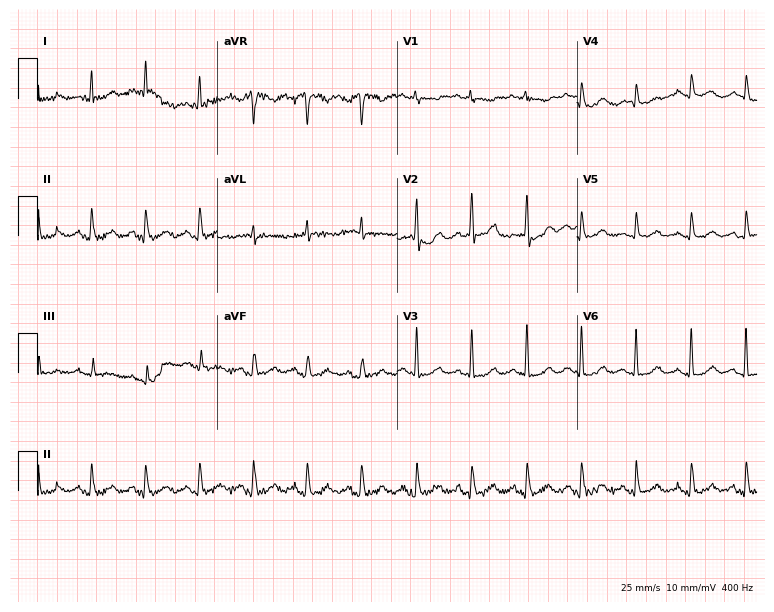
Standard 12-lead ECG recorded from a woman, 49 years old. None of these six findings is recorded: first-degree AV block, right bundle branch block, left bundle branch block, sinus bradycardia, atrial fibrillation, sinus tachycardia.